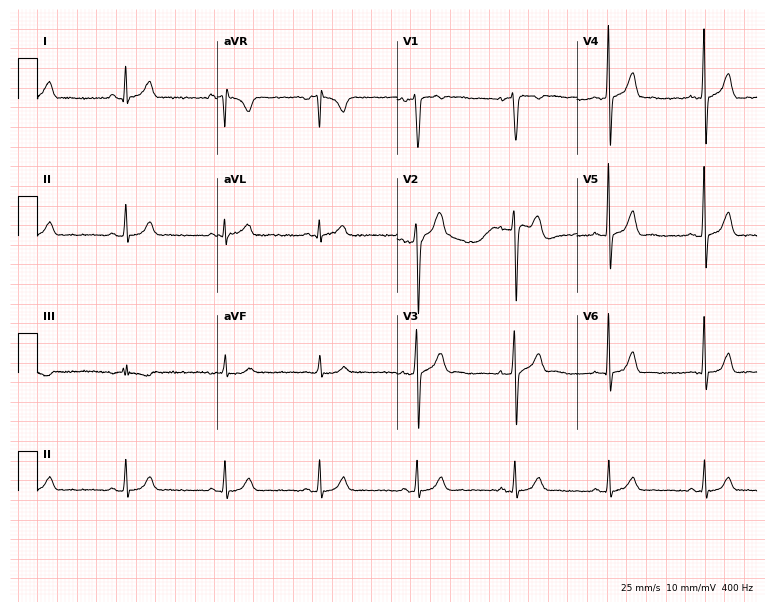
Resting 12-lead electrocardiogram (7.3-second recording at 400 Hz). Patient: a 42-year-old male. None of these six findings is recorded: first-degree AV block, right bundle branch block, left bundle branch block, sinus bradycardia, atrial fibrillation, sinus tachycardia.